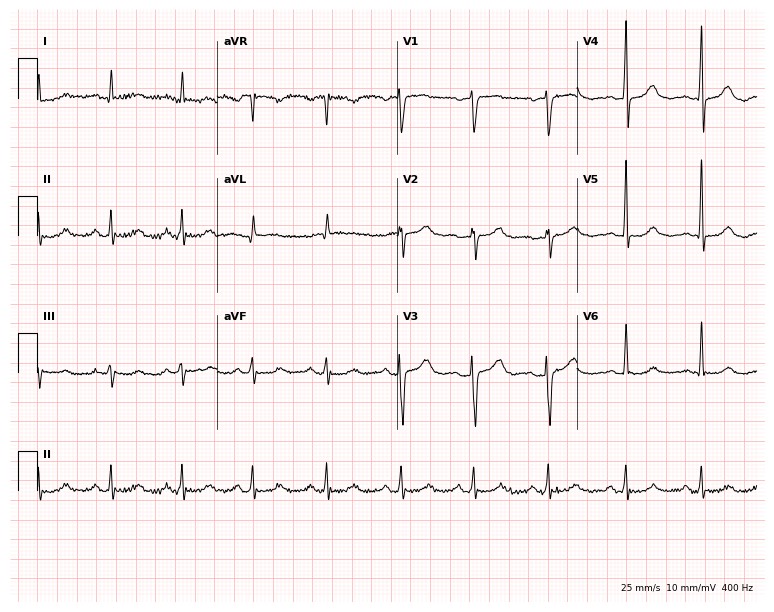
ECG — a female patient, 77 years old. Screened for six findings — first-degree AV block, right bundle branch block, left bundle branch block, sinus bradycardia, atrial fibrillation, sinus tachycardia — none is recorded. Other findings, if any, are not listed.